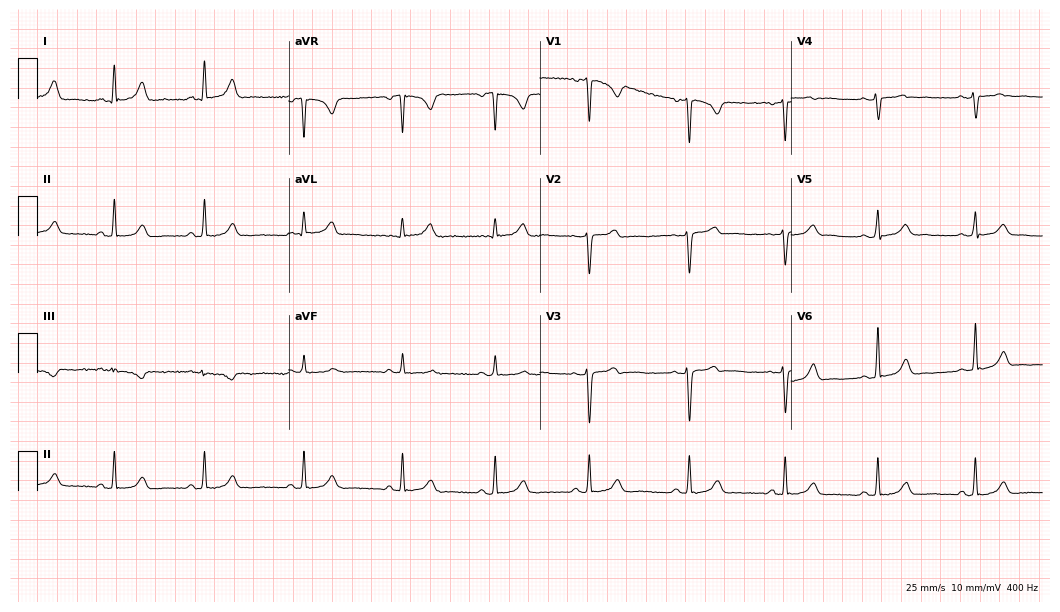
Standard 12-lead ECG recorded from a woman, 24 years old. Read as a normal ECG.